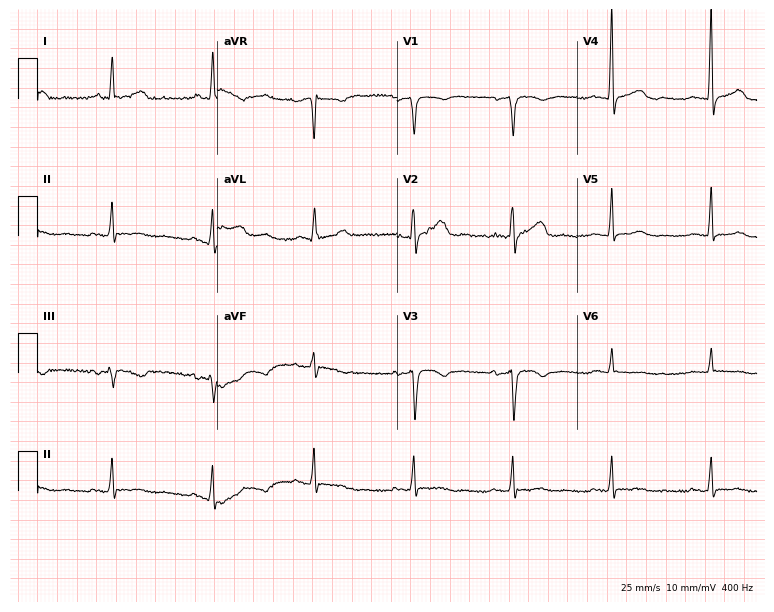
12-lead ECG (7.3-second recording at 400 Hz) from a male, 49 years old. Labelled as a normal ECG.